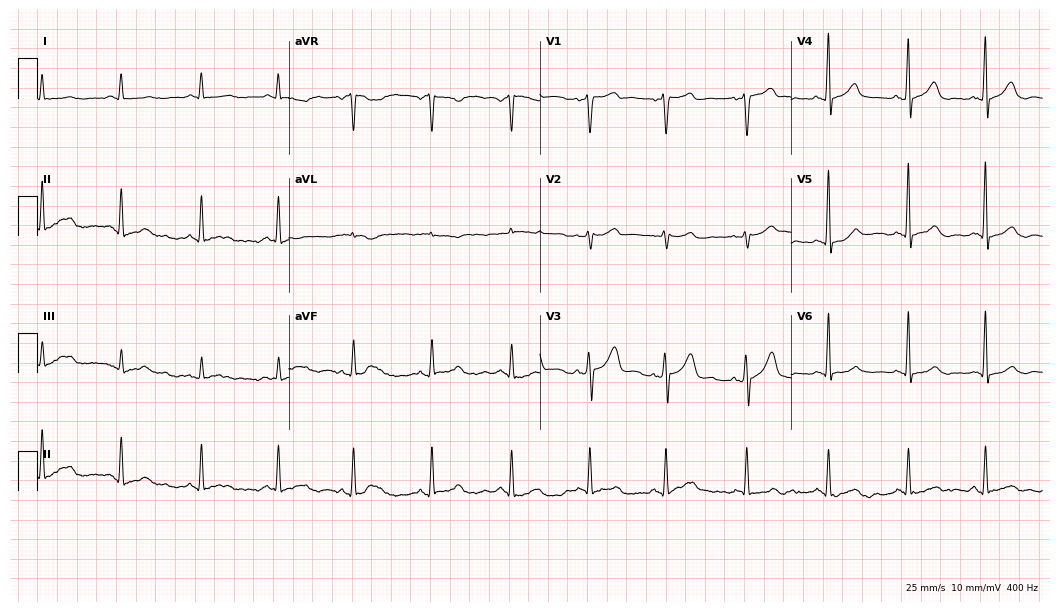
Electrocardiogram, a 51-year-old man. Overall reading on record: normal ECG.